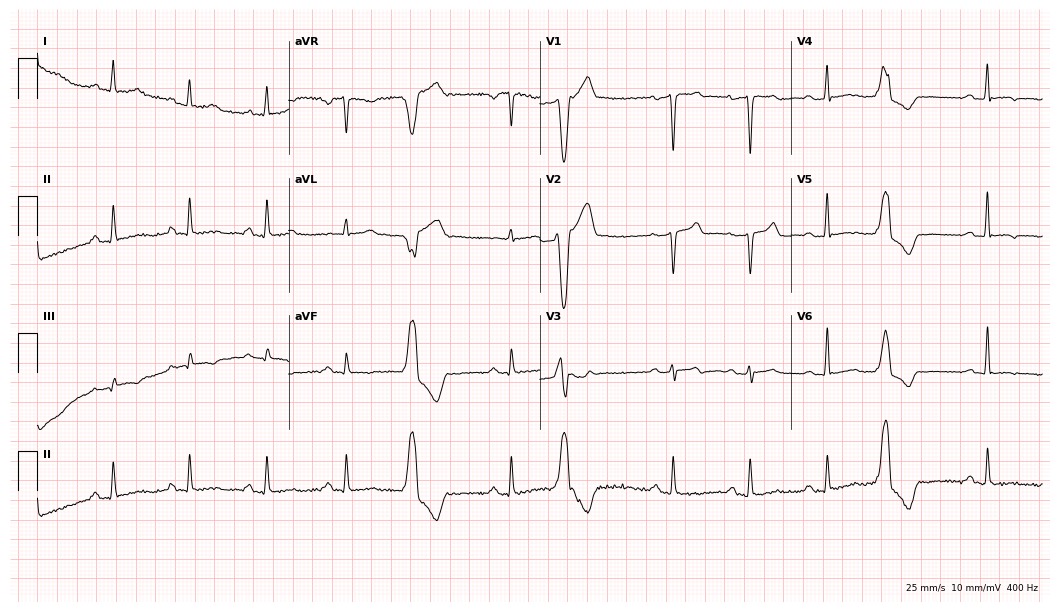
Electrocardiogram, a 68-year-old man. Of the six screened findings (first-degree AV block, right bundle branch block, left bundle branch block, sinus bradycardia, atrial fibrillation, sinus tachycardia), none is recorded.